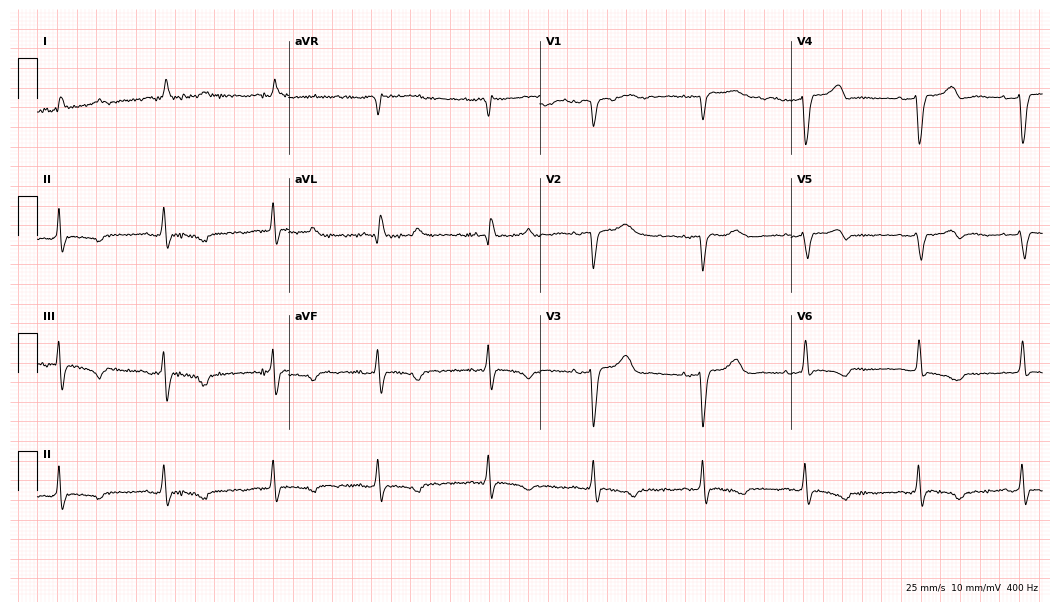
ECG — a woman, 82 years old. Screened for six findings — first-degree AV block, right bundle branch block, left bundle branch block, sinus bradycardia, atrial fibrillation, sinus tachycardia — none is recorded. Other findings, if any, are not listed.